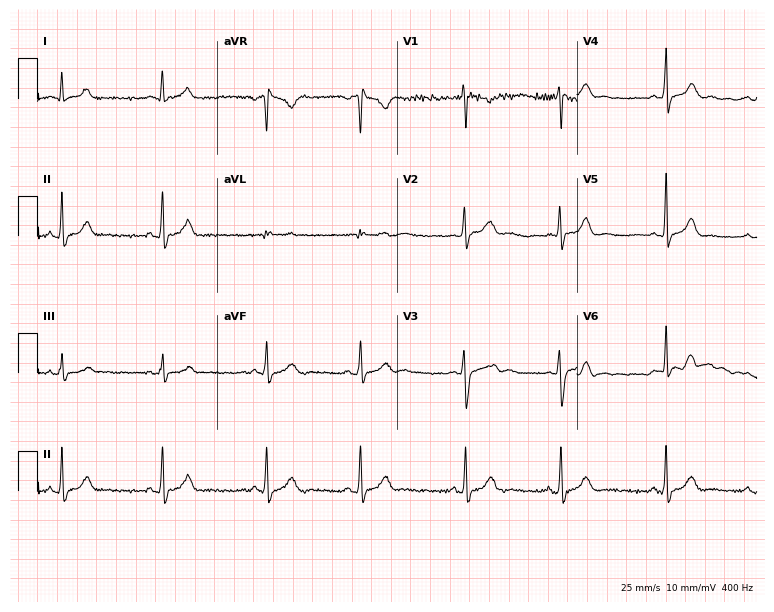
Standard 12-lead ECG recorded from a 25-year-old woman. Read as a normal ECG.